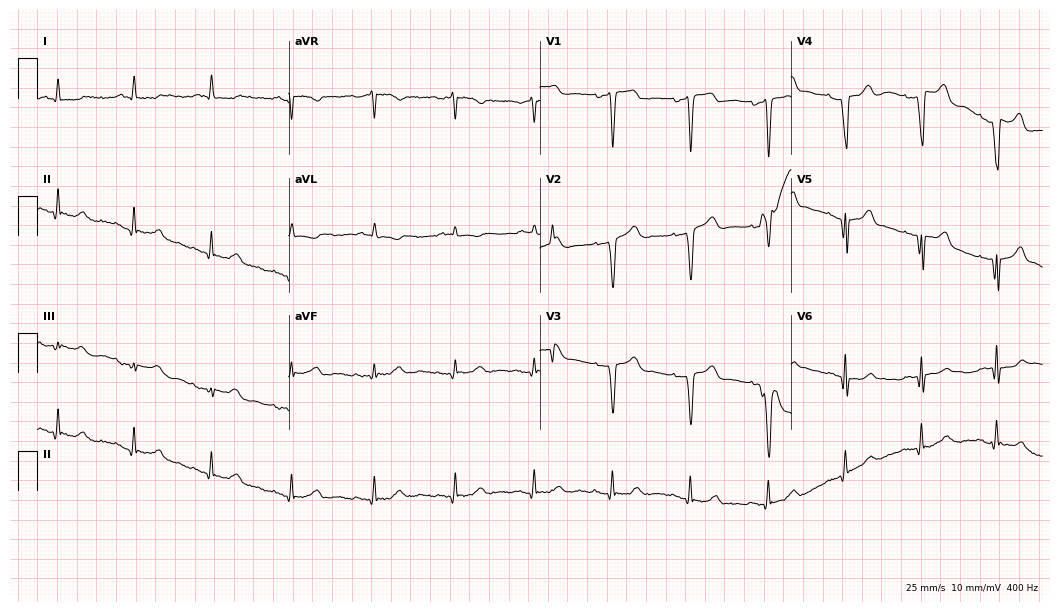
12-lead ECG (10.2-second recording at 400 Hz) from a male patient, 50 years old. Screened for six findings — first-degree AV block, right bundle branch block, left bundle branch block, sinus bradycardia, atrial fibrillation, sinus tachycardia — none is recorded. Only these six findings were labelled.